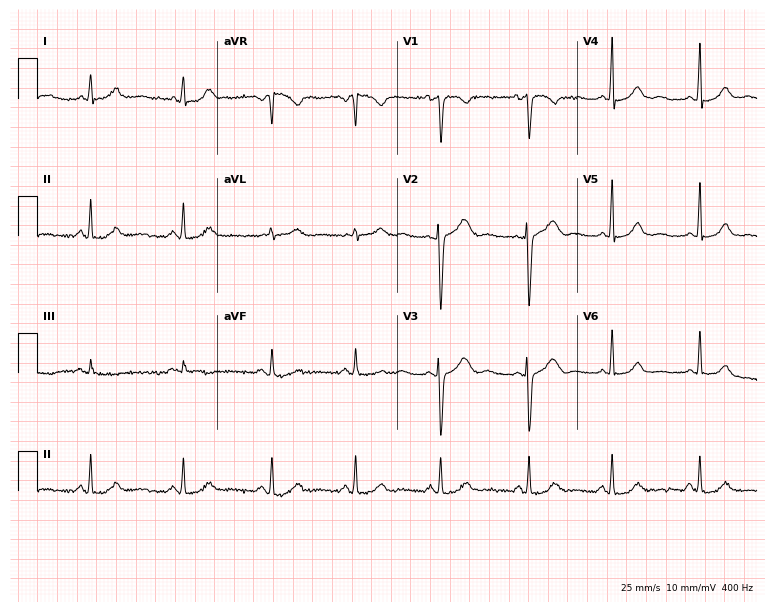
Standard 12-lead ECG recorded from a female patient, 40 years old. None of these six findings is recorded: first-degree AV block, right bundle branch block, left bundle branch block, sinus bradycardia, atrial fibrillation, sinus tachycardia. Findings outside these six are not listed.